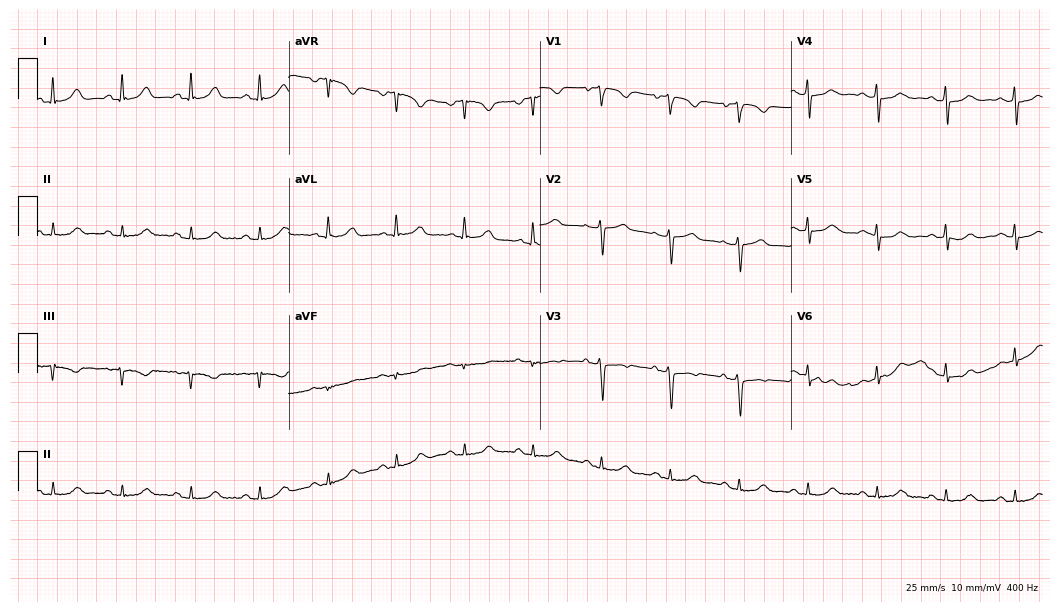
Standard 12-lead ECG recorded from a female patient, 81 years old (10.2-second recording at 400 Hz). None of these six findings is recorded: first-degree AV block, right bundle branch block, left bundle branch block, sinus bradycardia, atrial fibrillation, sinus tachycardia. Findings outside these six are not listed.